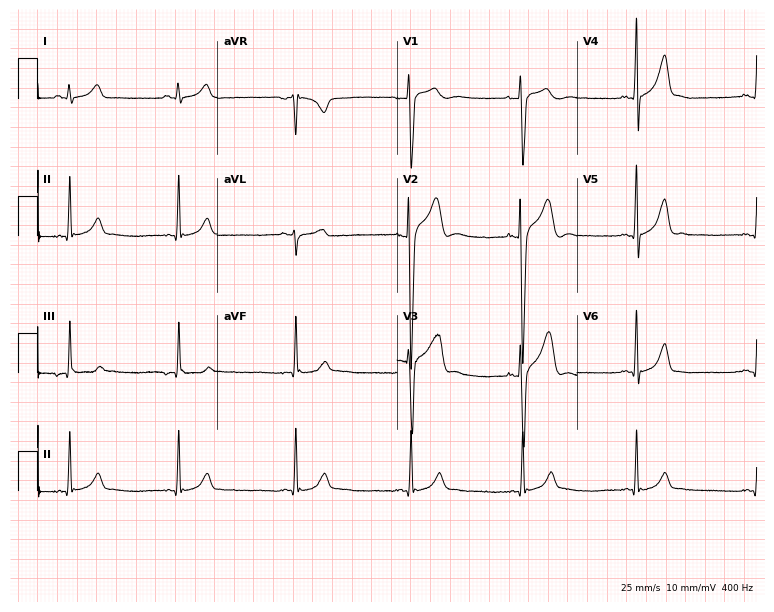
12-lead ECG from a 19-year-old man (7.3-second recording at 400 Hz). No first-degree AV block, right bundle branch block, left bundle branch block, sinus bradycardia, atrial fibrillation or sinus tachycardia recorded for this tracing.